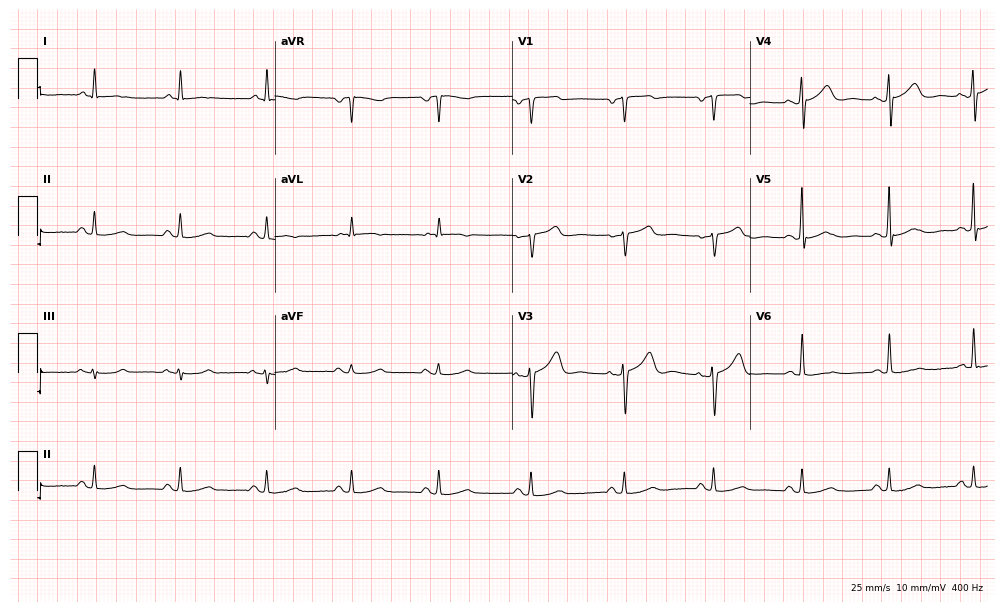
12-lead ECG (9.7-second recording at 400 Hz) from a 70-year-old male. Screened for six findings — first-degree AV block, right bundle branch block, left bundle branch block, sinus bradycardia, atrial fibrillation, sinus tachycardia — none is recorded. Findings outside these six are not listed.